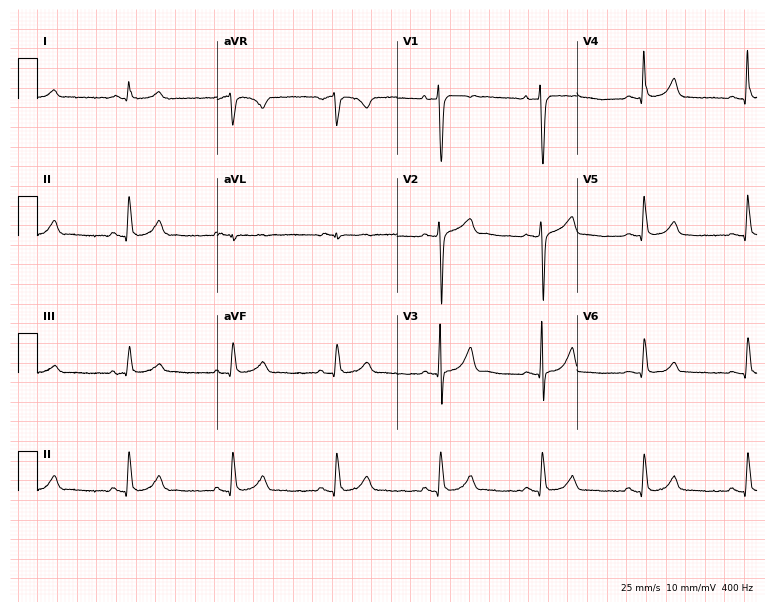
12-lead ECG from a 44-year-old man (7.3-second recording at 400 Hz). No first-degree AV block, right bundle branch block (RBBB), left bundle branch block (LBBB), sinus bradycardia, atrial fibrillation (AF) or sinus tachycardia recorded for this tracing. Only these six findings were labelled.